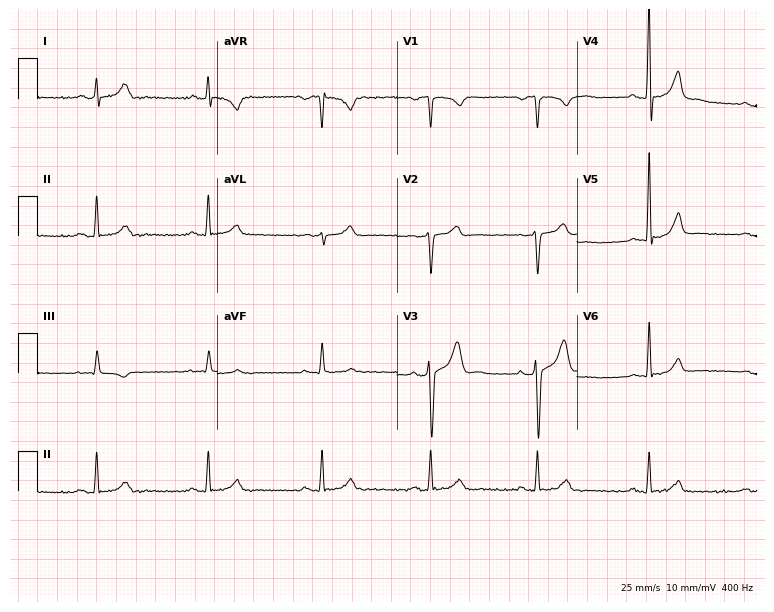
Resting 12-lead electrocardiogram (7.3-second recording at 400 Hz). Patient: a male, 44 years old. None of these six findings is recorded: first-degree AV block, right bundle branch block (RBBB), left bundle branch block (LBBB), sinus bradycardia, atrial fibrillation (AF), sinus tachycardia.